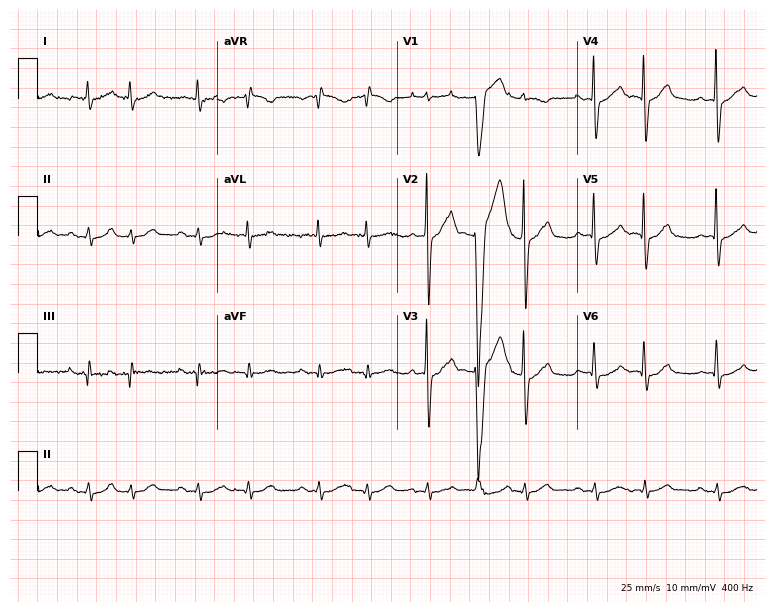
Electrocardiogram (7.3-second recording at 400 Hz), a man, 76 years old. Of the six screened findings (first-degree AV block, right bundle branch block, left bundle branch block, sinus bradycardia, atrial fibrillation, sinus tachycardia), none is recorded.